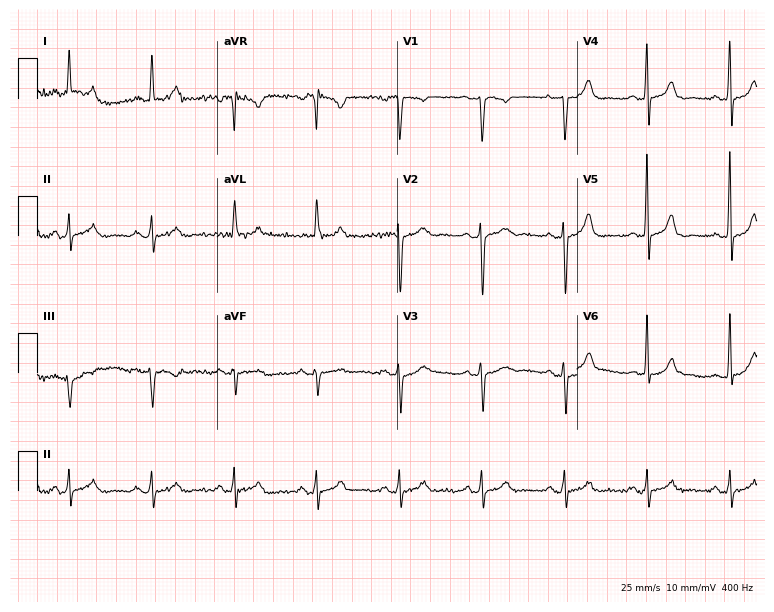
12-lead ECG from a 66-year-old female patient (7.3-second recording at 400 Hz). Recorded interpretation: within normal limits.